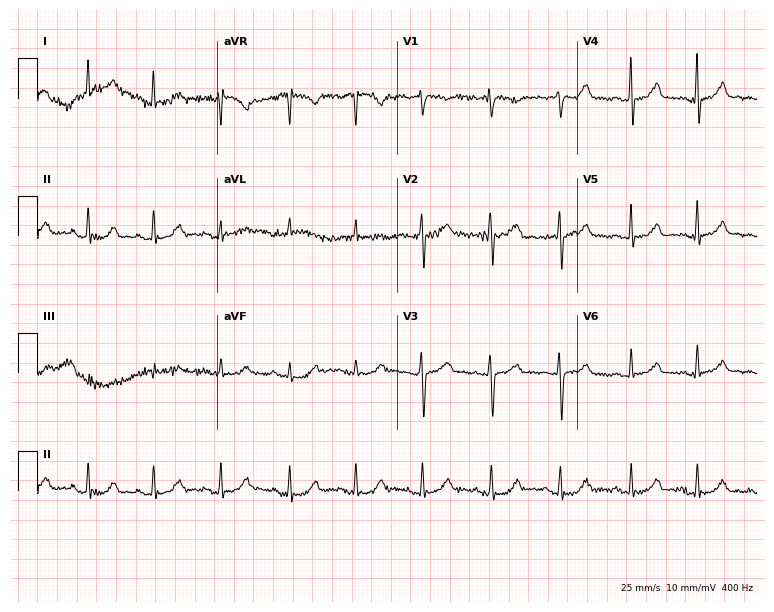
ECG (7.3-second recording at 400 Hz) — a 65-year-old woman. Labelled as a normal ECG.